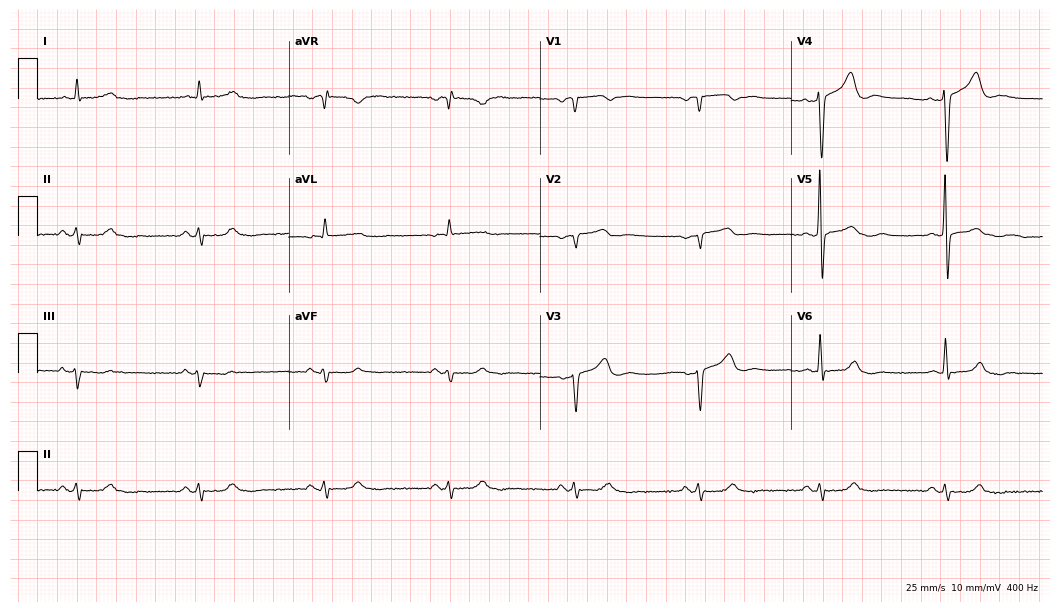
12-lead ECG from a man, 74 years old. Shows sinus bradycardia (a sinus rate of 50 beats per minute or less).